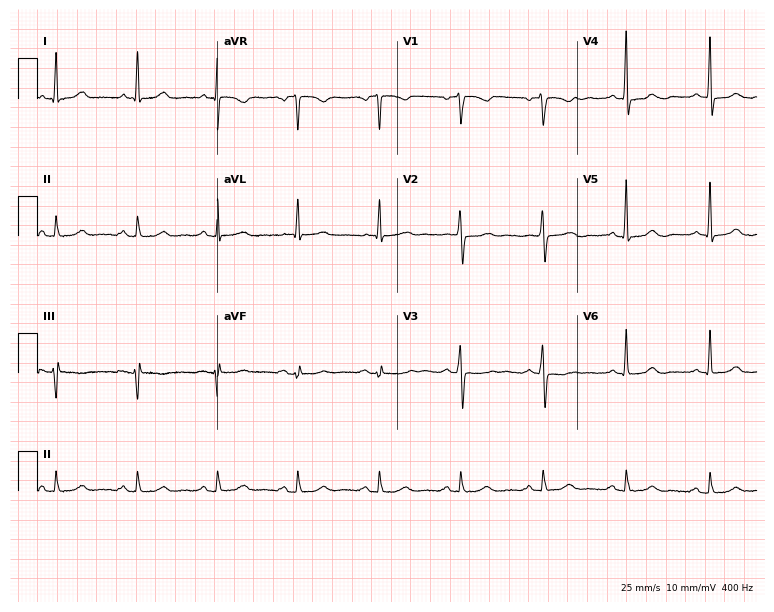
ECG (7.3-second recording at 400 Hz) — a 53-year-old woman. Labelled as a normal ECG.